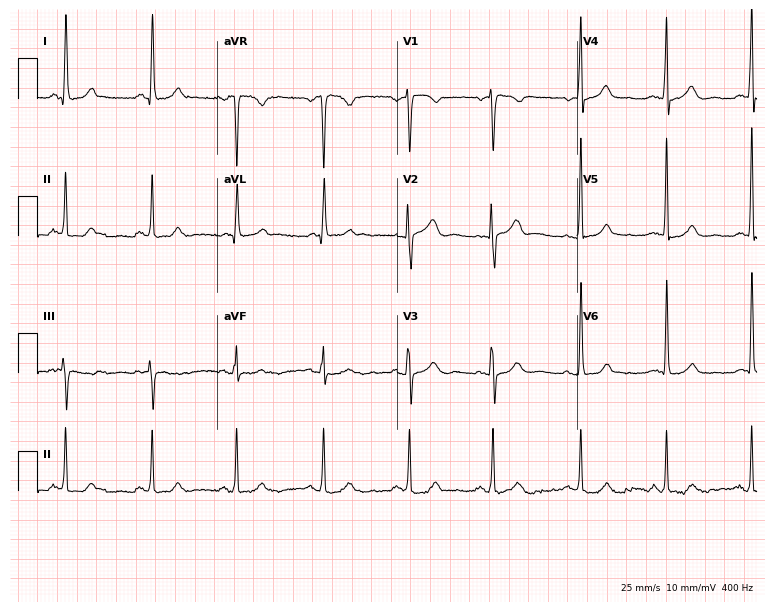
ECG — a 61-year-old woman. Screened for six findings — first-degree AV block, right bundle branch block, left bundle branch block, sinus bradycardia, atrial fibrillation, sinus tachycardia — none is recorded.